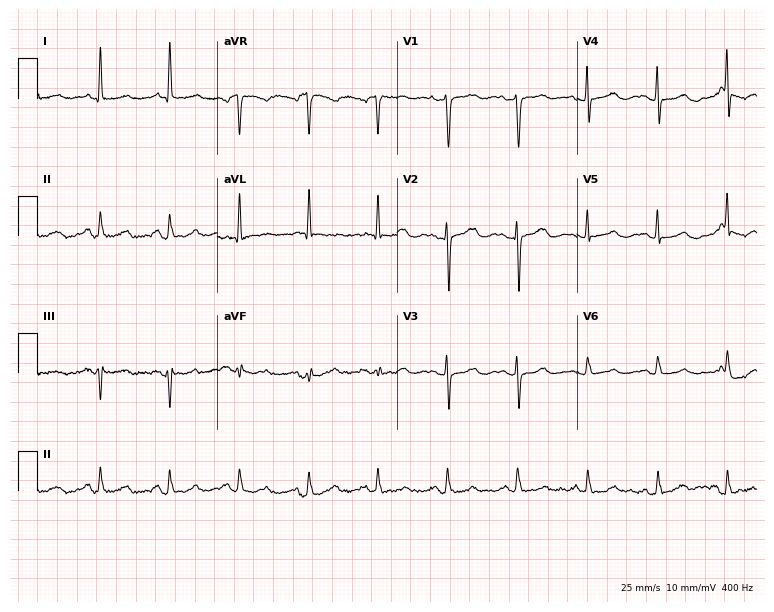
12-lead ECG from a 73-year-old female patient. No first-degree AV block, right bundle branch block (RBBB), left bundle branch block (LBBB), sinus bradycardia, atrial fibrillation (AF) or sinus tachycardia recorded for this tracing. Findings outside these six are not listed.